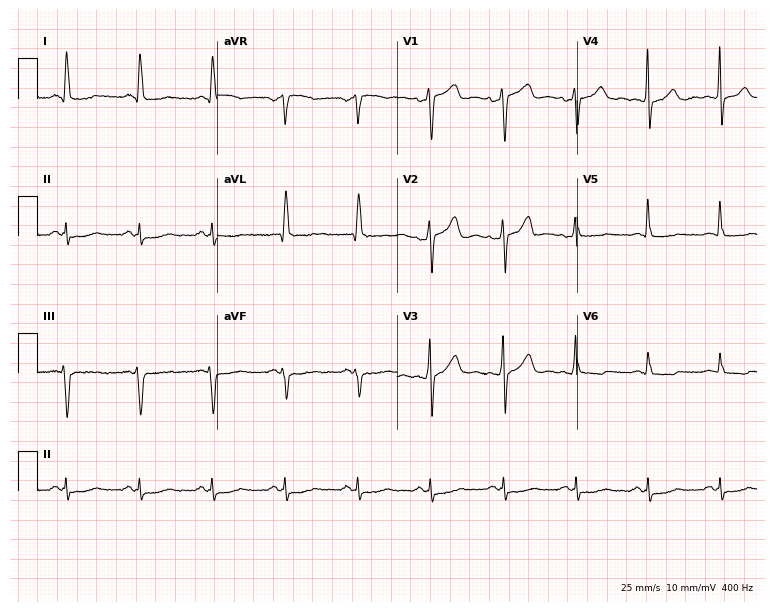
ECG — a male, 59 years old. Screened for six findings — first-degree AV block, right bundle branch block, left bundle branch block, sinus bradycardia, atrial fibrillation, sinus tachycardia — none is recorded.